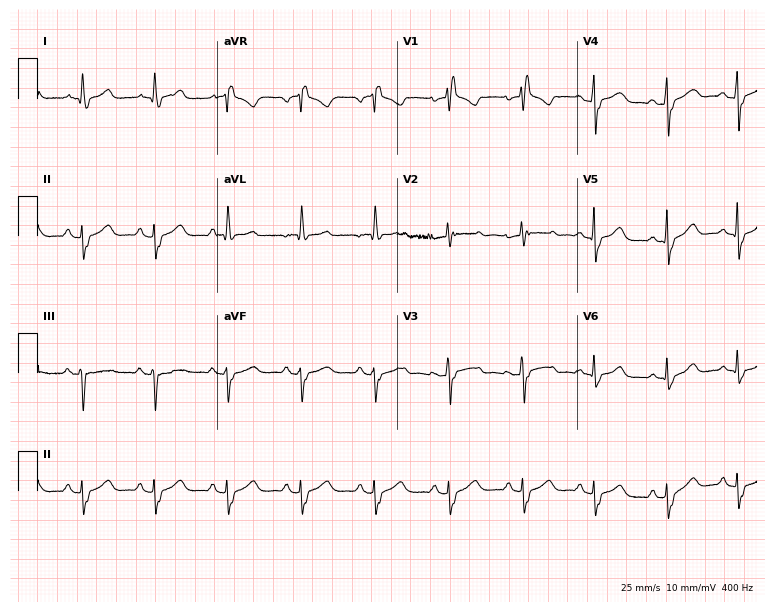
Electrocardiogram, a 47-year-old woman. Interpretation includes right bundle branch block (RBBB).